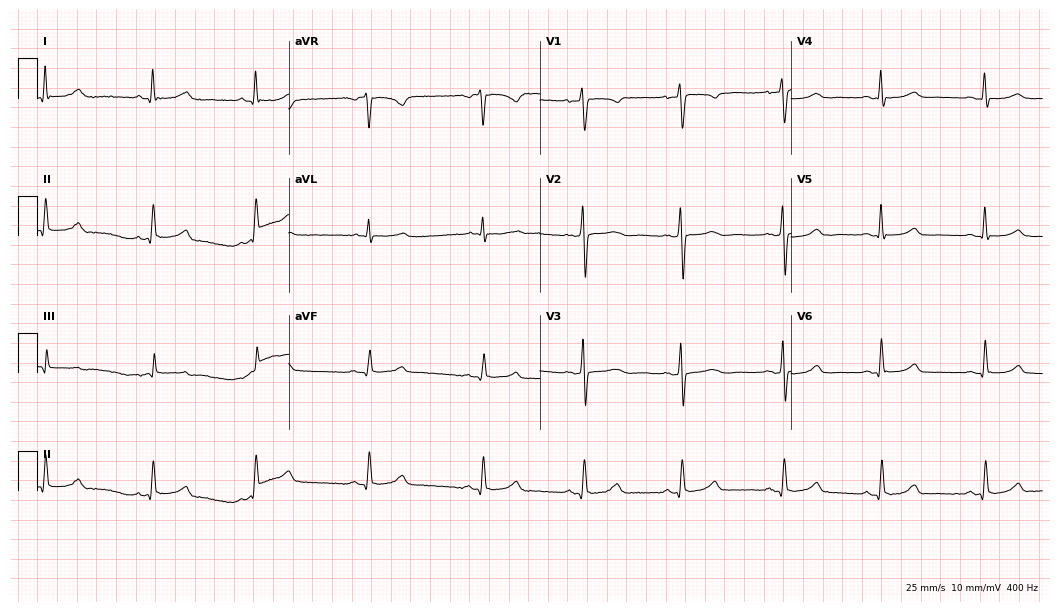
Electrocardiogram (10.2-second recording at 400 Hz), a 34-year-old female. Of the six screened findings (first-degree AV block, right bundle branch block (RBBB), left bundle branch block (LBBB), sinus bradycardia, atrial fibrillation (AF), sinus tachycardia), none is recorded.